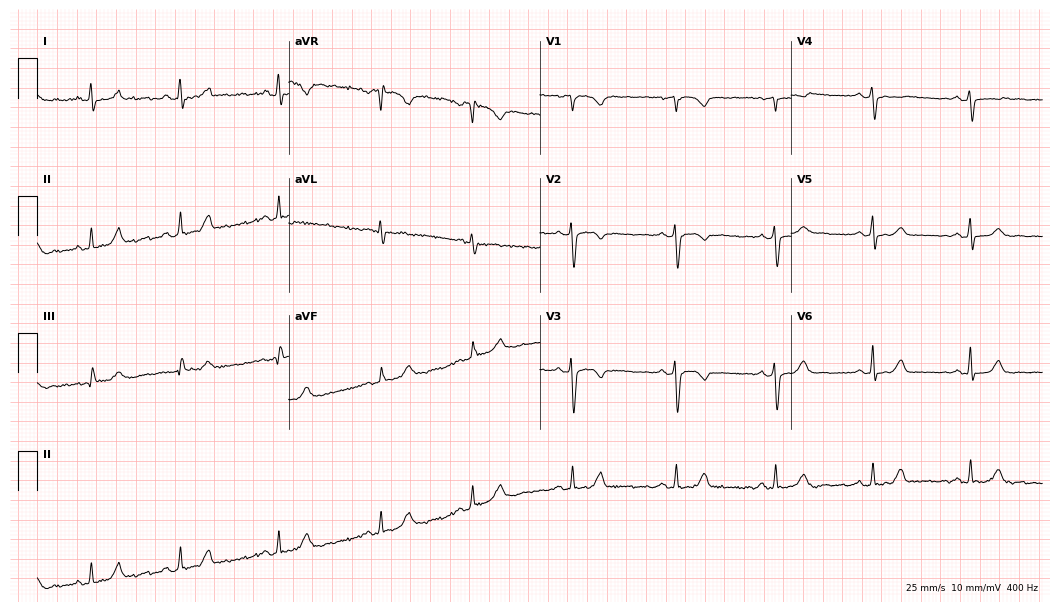
Standard 12-lead ECG recorded from a woman, 42 years old. None of these six findings is recorded: first-degree AV block, right bundle branch block (RBBB), left bundle branch block (LBBB), sinus bradycardia, atrial fibrillation (AF), sinus tachycardia. Only these six findings were labelled.